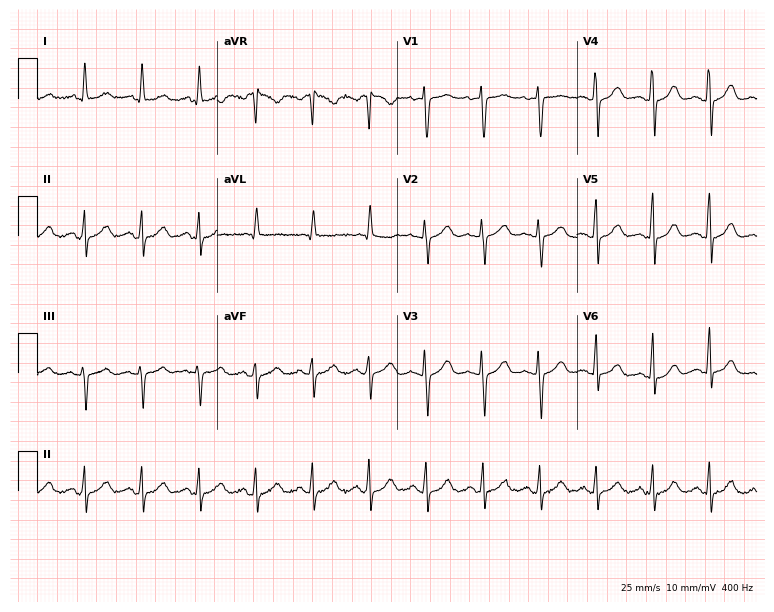
12-lead ECG from a woman, 57 years old. Shows sinus tachycardia (a sinus rate of 100 beats per minute or more).